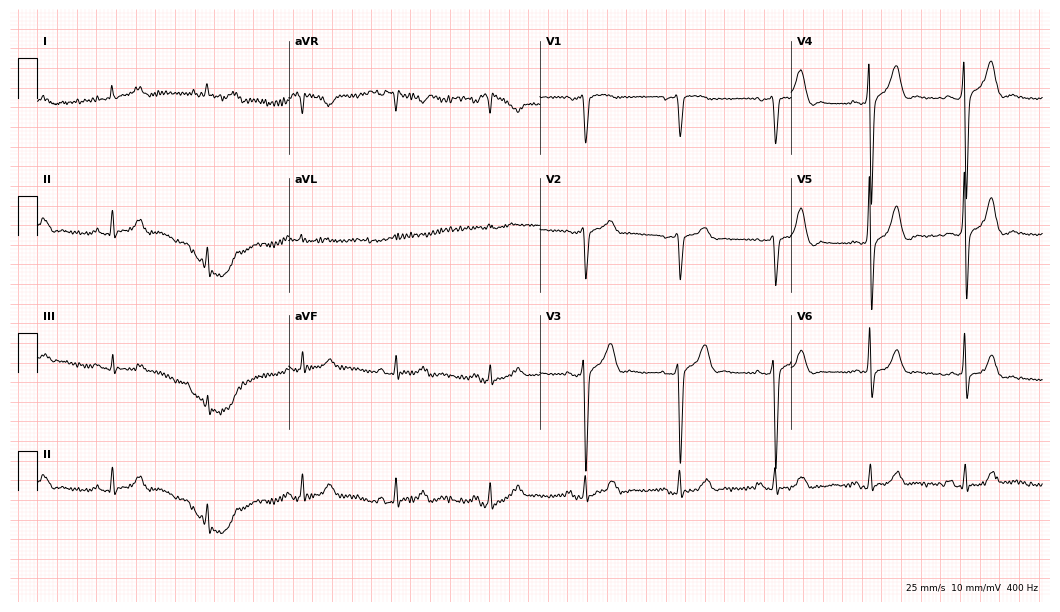
12-lead ECG from a 73-year-old man. Labelled as a normal ECG.